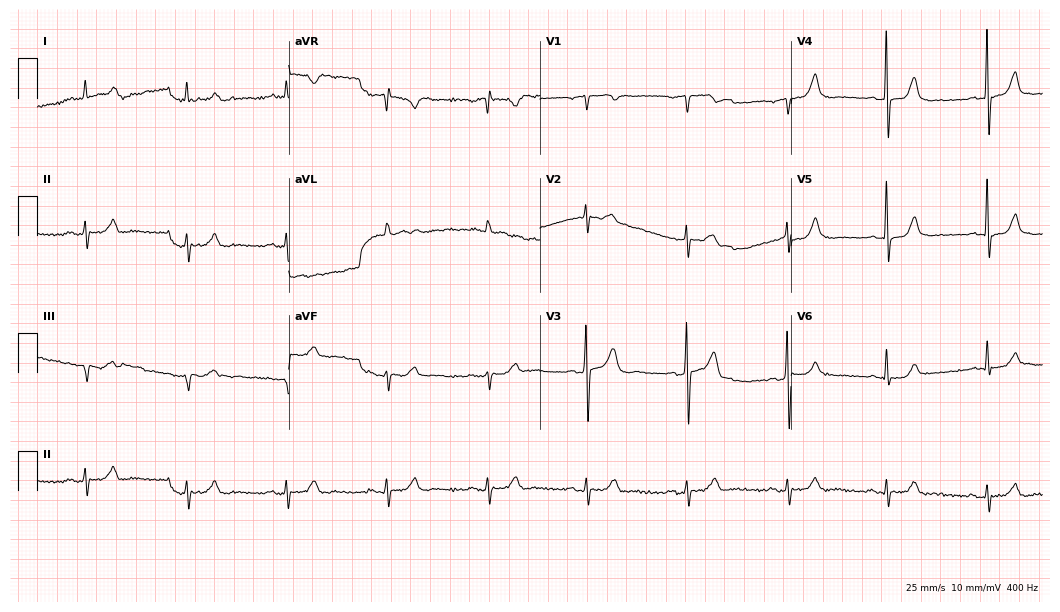
12-lead ECG (10.2-second recording at 400 Hz) from a male patient, 75 years old. Screened for six findings — first-degree AV block, right bundle branch block (RBBB), left bundle branch block (LBBB), sinus bradycardia, atrial fibrillation (AF), sinus tachycardia — none is recorded. Other findings, if any, are not listed.